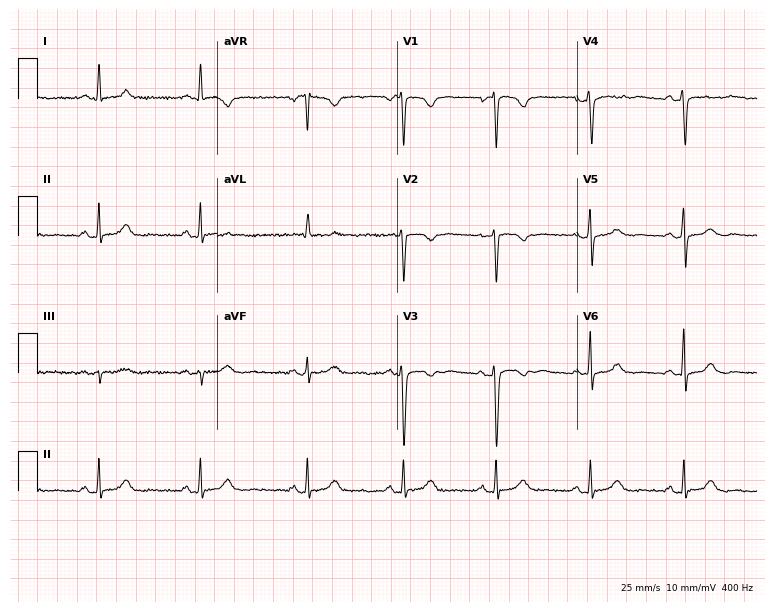
12-lead ECG from a female, 44 years old (7.3-second recording at 400 Hz). No first-degree AV block, right bundle branch block, left bundle branch block, sinus bradycardia, atrial fibrillation or sinus tachycardia recorded for this tracing. Other findings, if any, are not listed.